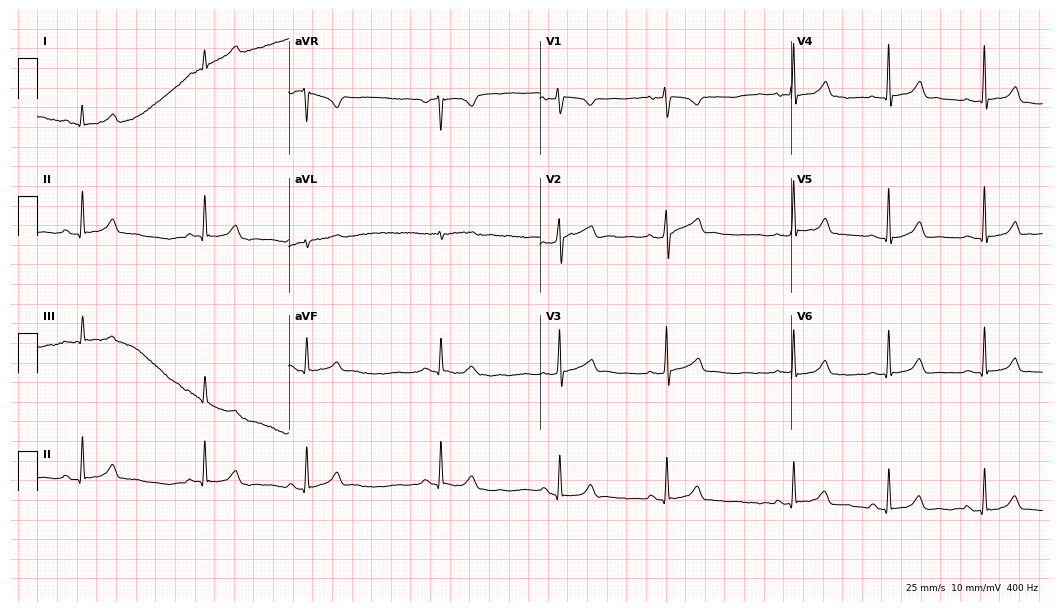
12-lead ECG (10.2-second recording at 400 Hz) from a 19-year-old female. Labelled as a normal ECG.